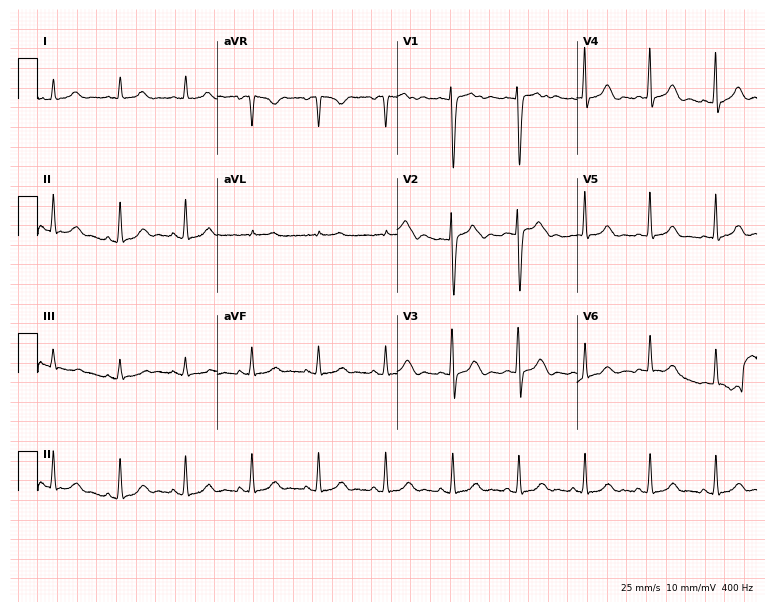
Electrocardiogram, a 27-year-old female patient. Overall reading on record: normal ECG.